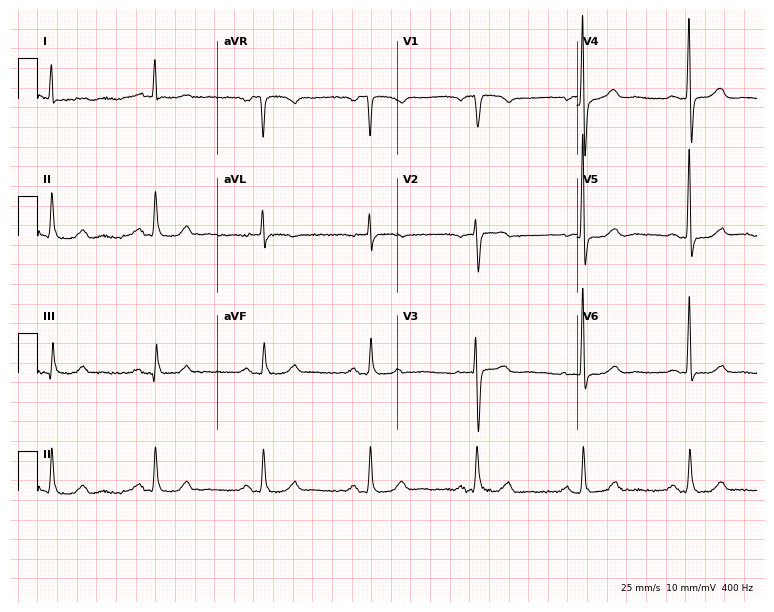
Standard 12-lead ECG recorded from a female patient, 78 years old. None of these six findings is recorded: first-degree AV block, right bundle branch block, left bundle branch block, sinus bradycardia, atrial fibrillation, sinus tachycardia. Findings outside these six are not listed.